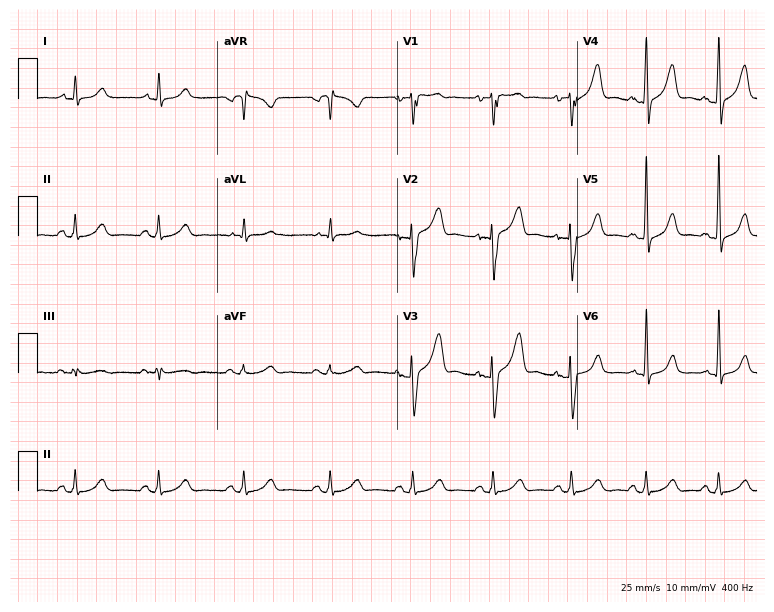
12-lead ECG (7.3-second recording at 400 Hz) from a man, 61 years old. Labelled as a normal ECG.